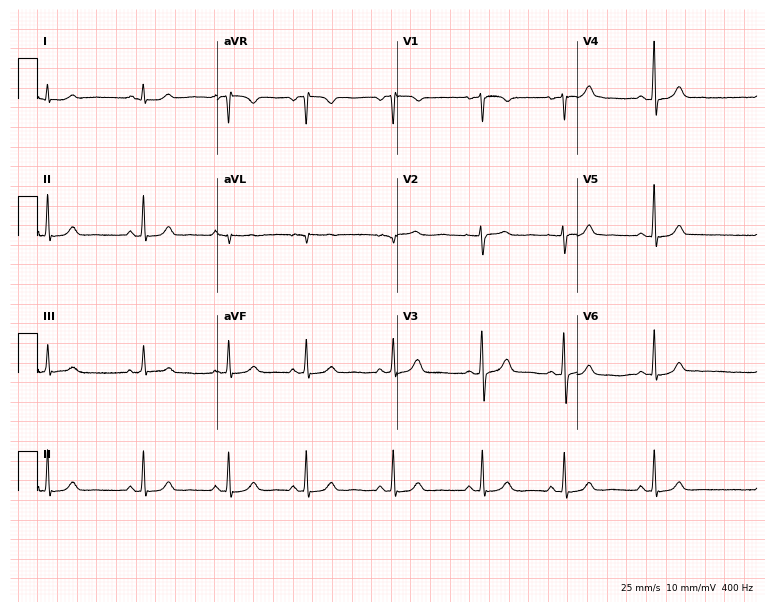
ECG (7.3-second recording at 400 Hz) — a female, 23 years old. Screened for six findings — first-degree AV block, right bundle branch block, left bundle branch block, sinus bradycardia, atrial fibrillation, sinus tachycardia — none is recorded.